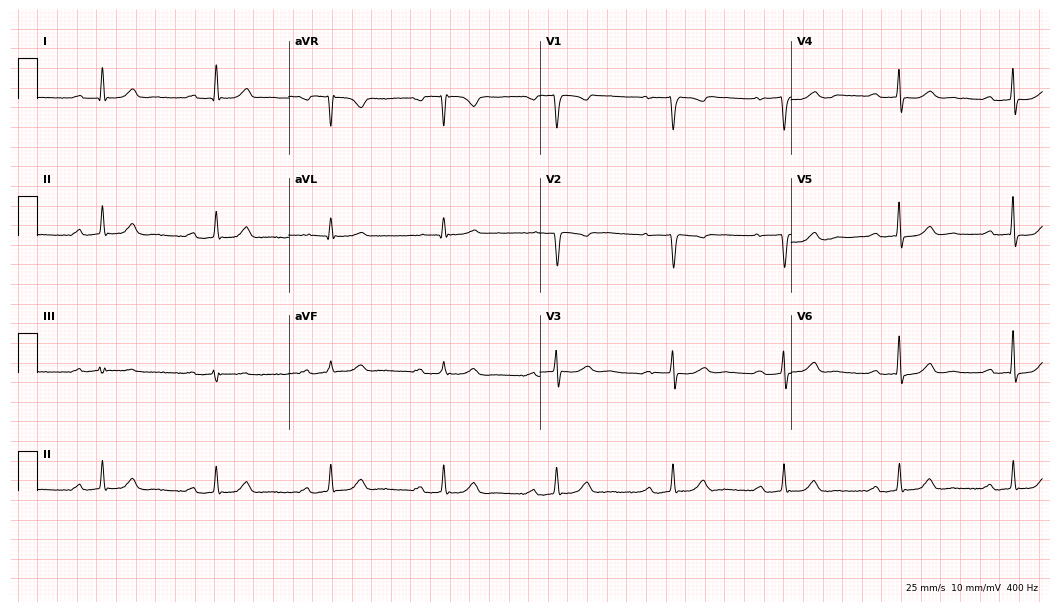
Standard 12-lead ECG recorded from a woman, 72 years old (10.2-second recording at 400 Hz). None of these six findings is recorded: first-degree AV block, right bundle branch block (RBBB), left bundle branch block (LBBB), sinus bradycardia, atrial fibrillation (AF), sinus tachycardia.